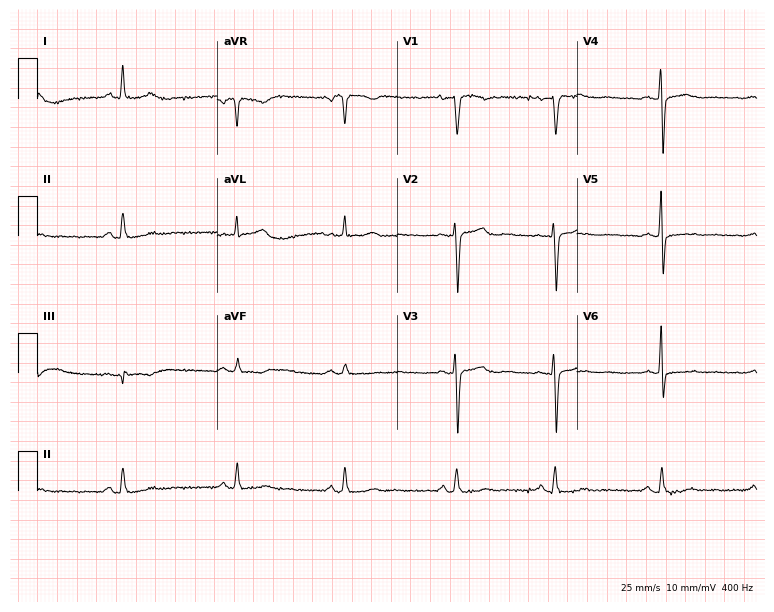
ECG (7.3-second recording at 400 Hz) — a 50-year-old woman. Screened for six findings — first-degree AV block, right bundle branch block, left bundle branch block, sinus bradycardia, atrial fibrillation, sinus tachycardia — none is recorded.